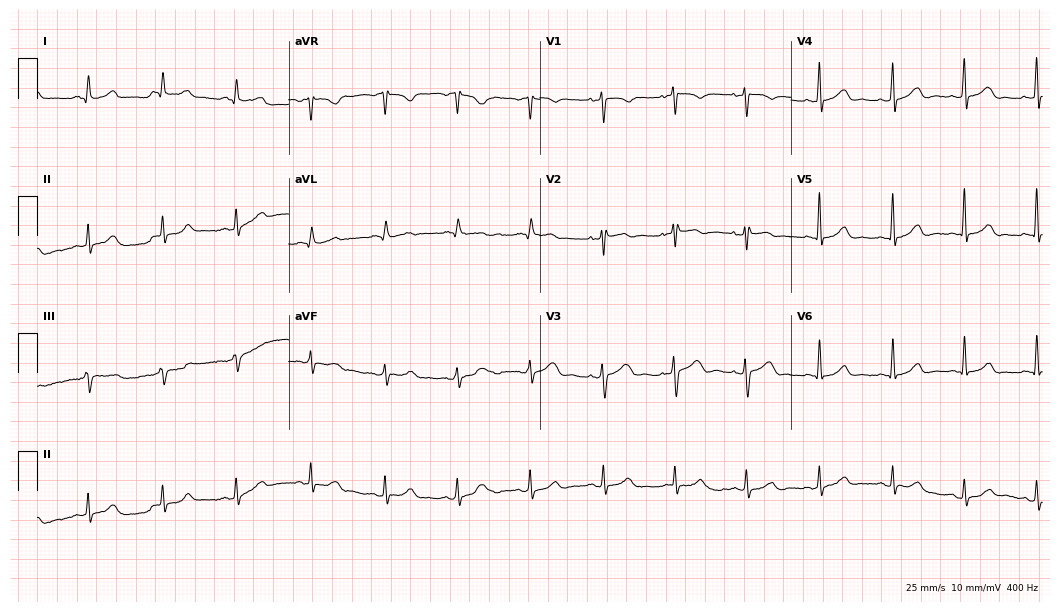
Standard 12-lead ECG recorded from a woman, 43 years old (10.2-second recording at 400 Hz). Read as a normal ECG.